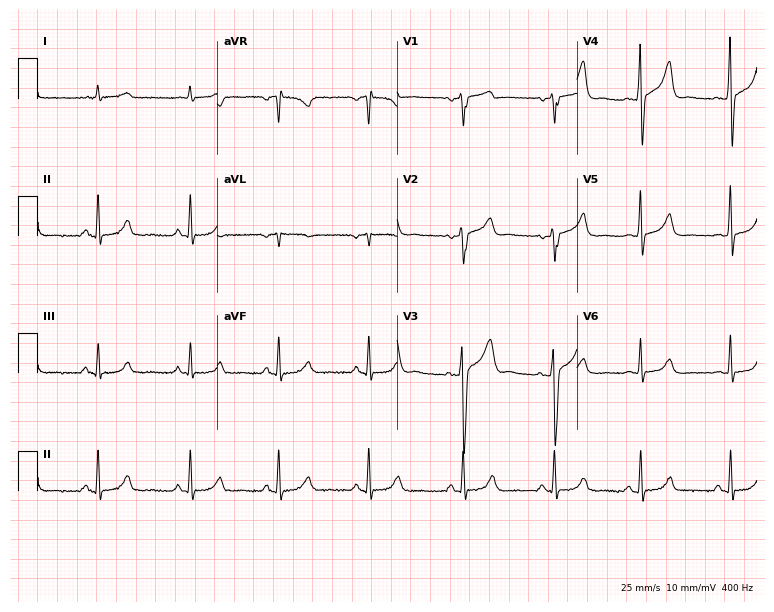
Standard 12-lead ECG recorded from a 50-year-old man. None of these six findings is recorded: first-degree AV block, right bundle branch block (RBBB), left bundle branch block (LBBB), sinus bradycardia, atrial fibrillation (AF), sinus tachycardia. Findings outside these six are not listed.